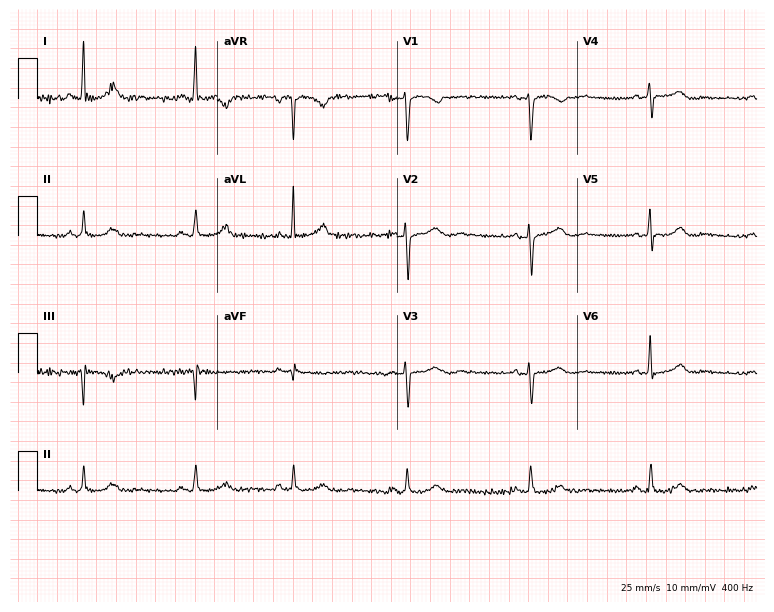
Resting 12-lead electrocardiogram. Patient: a 61-year-old woman. None of these six findings is recorded: first-degree AV block, right bundle branch block, left bundle branch block, sinus bradycardia, atrial fibrillation, sinus tachycardia.